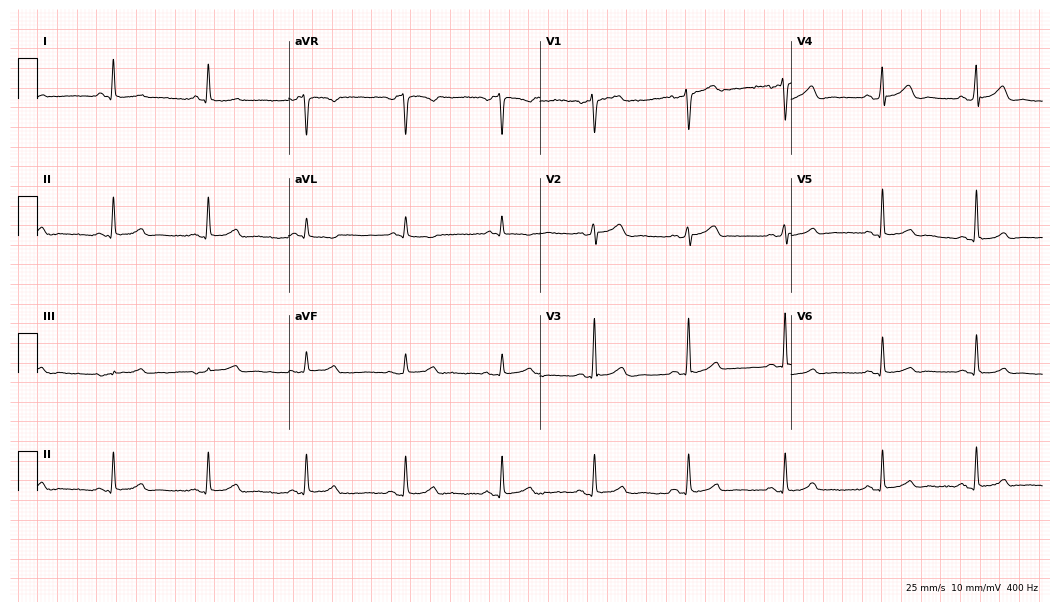
12-lead ECG (10.2-second recording at 400 Hz) from a female patient, 66 years old. Labelled as a normal ECG.